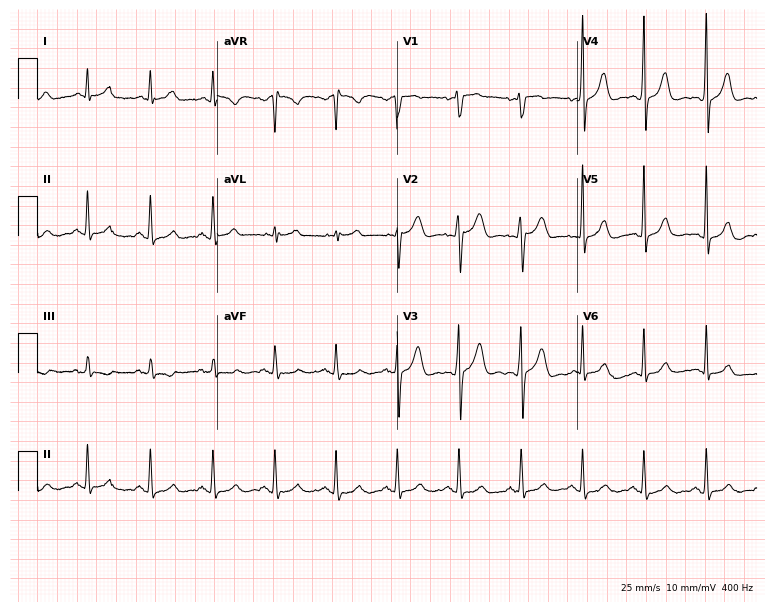
Electrocardiogram (7.3-second recording at 400 Hz), a male patient, 48 years old. Overall reading on record: normal ECG.